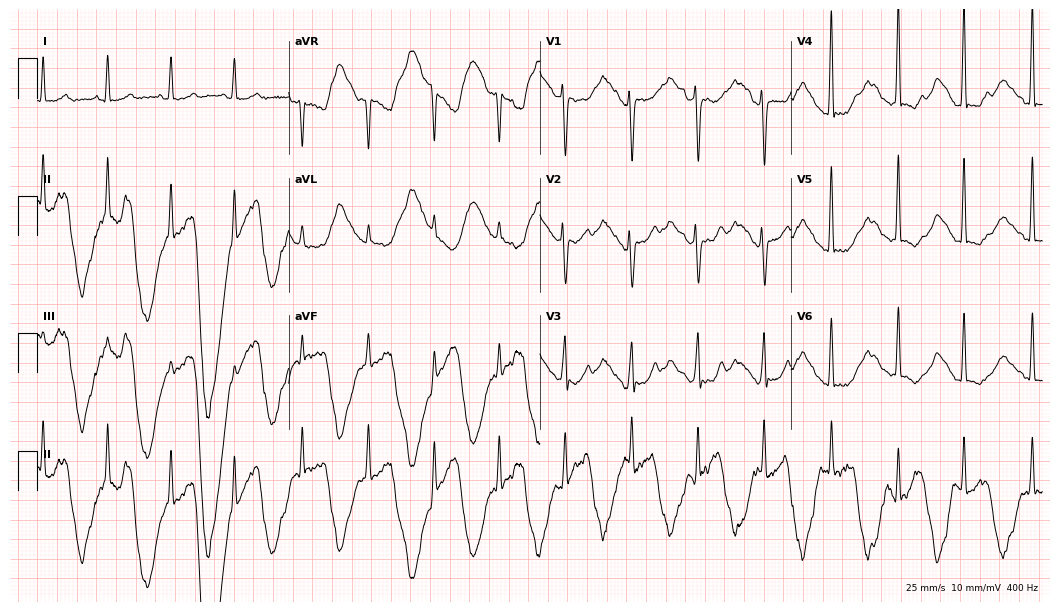
ECG (10.2-second recording at 400 Hz) — a female patient, 52 years old. Screened for six findings — first-degree AV block, right bundle branch block, left bundle branch block, sinus bradycardia, atrial fibrillation, sinus tachycardia — none is recorded. Findings outside these six are not listed.